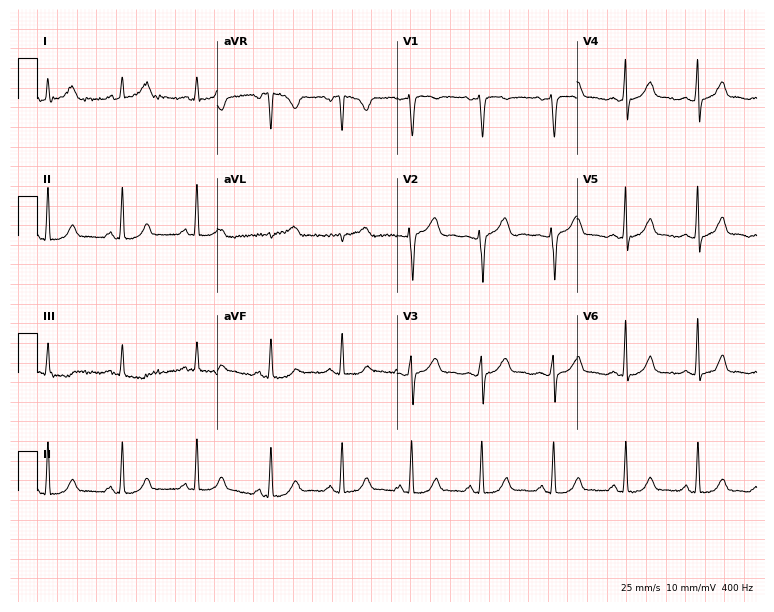
Electrocardiogram, a 36-year-old female patient. Overall reading on record: normal ECG.